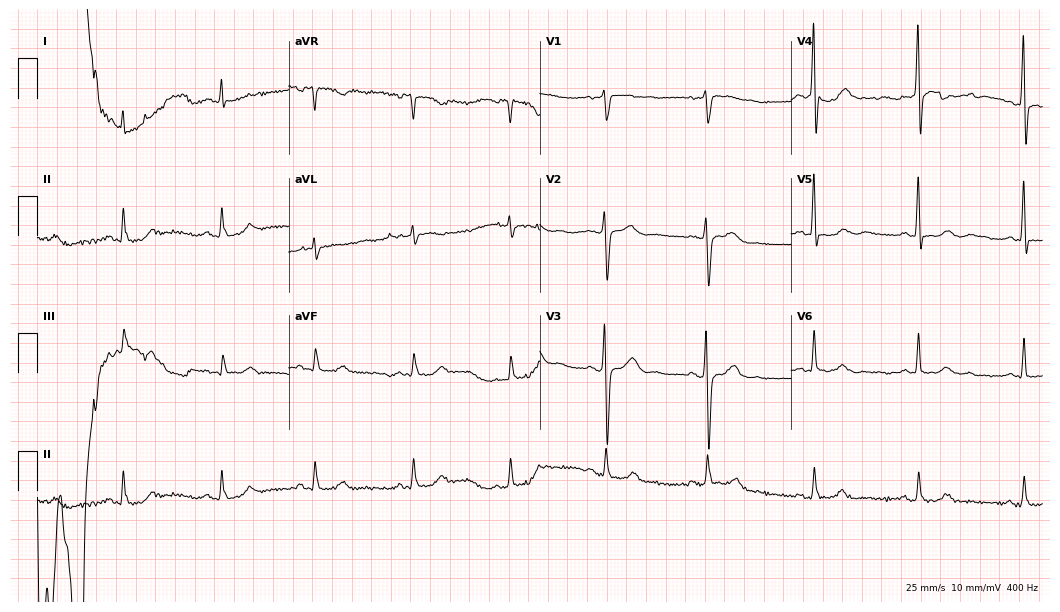
Electrocardiogram, a 63-year-old male patient. Of the six screened findings (first-degree AV block, right bundle branch block (RBBB), left bundle branch block (LBBB), sinus bradycardia, atrial fibrillation (AF), sinus tachycardia), none is recorded. Findings outside these six are not listed.